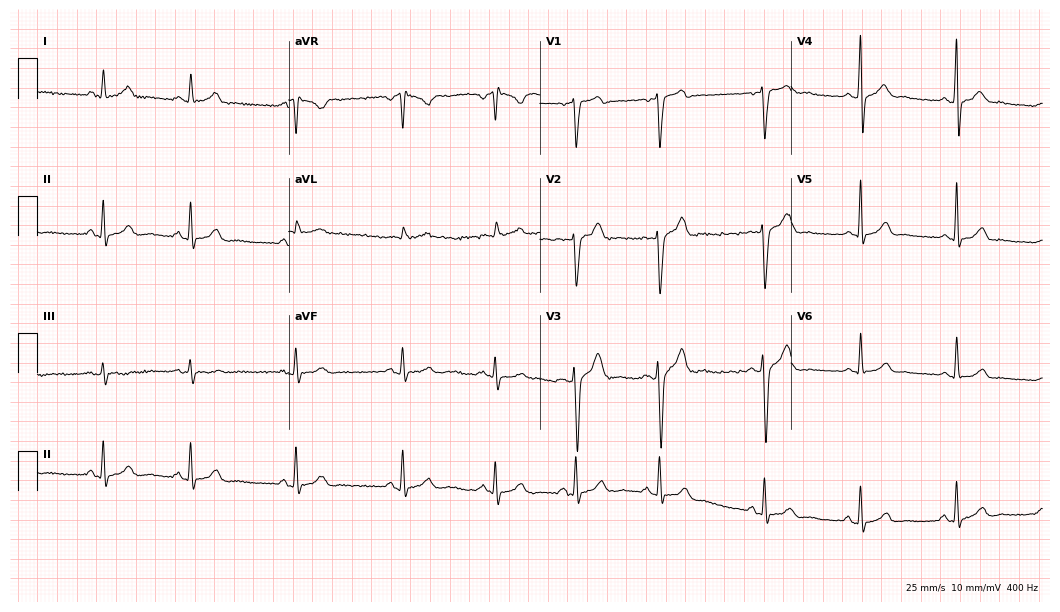
Standard 12-lead ECG recorded from a male patient, 29 years old. None of these six findings is recorded: first-degree AV block, right bundle branch block, left bundle branch block, sinus bradycardia, atrial fibrillation, sinus tachycardia. Only these six findings were labelled.